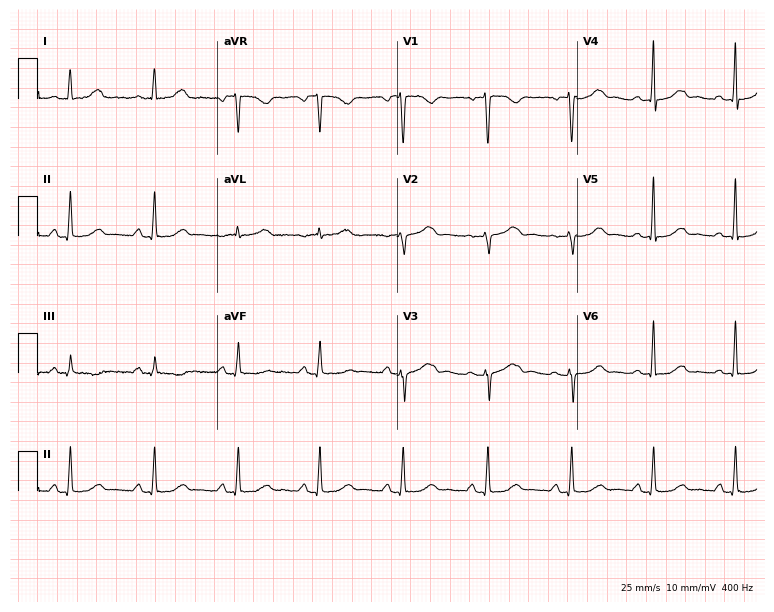
12-lead ECG from a woman, 47 years old (7.3-second recording at 400 Hz). Recorded interpretation: within normal limits.